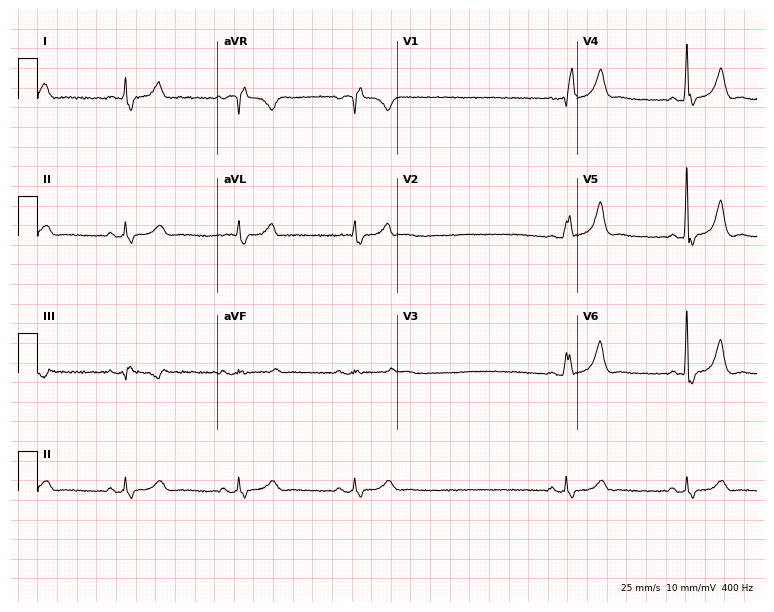
ECG (7.3-second recording at 400 Hz) — a female patient, 58 years old. Findings include right bundle branch block.